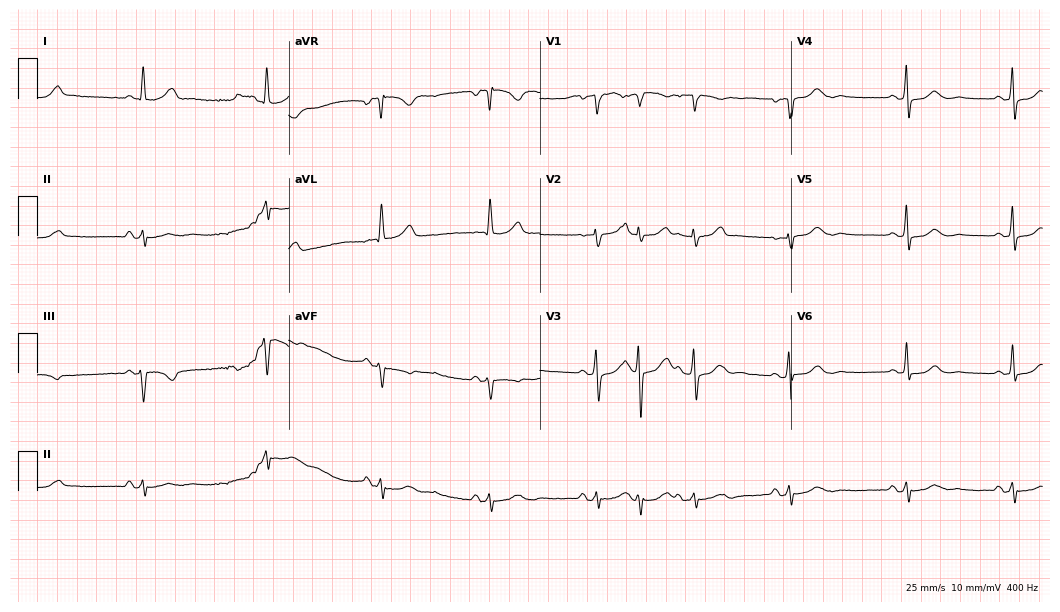
Standard 12-lead ECG recorded from a 66-year-old female patient (10.2-second recording at 400 Hz). None of these six findings is recorded: first-degree AV block, right bundle branch block, left bundle branch block, sinus bradycardia, atrial fibrillation, sinus tachycardia. Findings outside these six are not listed.